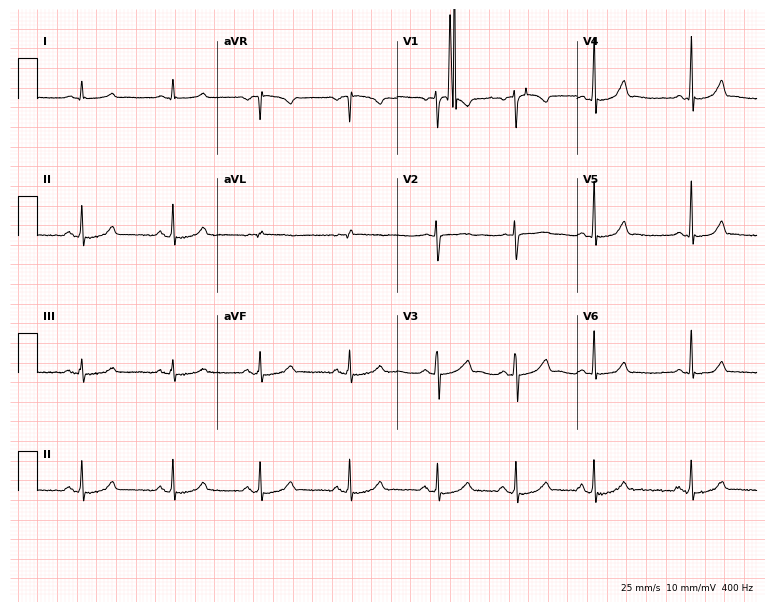
ECG (7.3-second recording at 400 Hz) — a 29-year-old female. Screened for six findings — first-degree AV block, right bundle branch block (RBBB), left bundle branch block (LBBB), sinus bradycardia, atrial fibrillation (AF), sinus tachycardia — none is recorded.